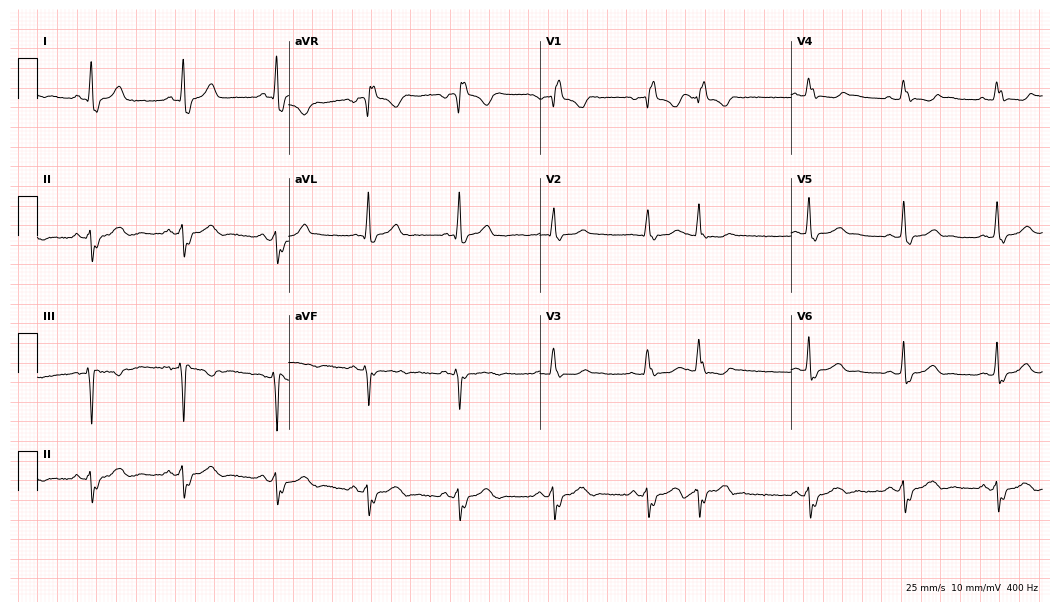
Standard 12-lead ECG recorded from a woman, 40 years old (10.2-second recording at 400 Hz). The tracing shows right bundle branch block (RBBB).